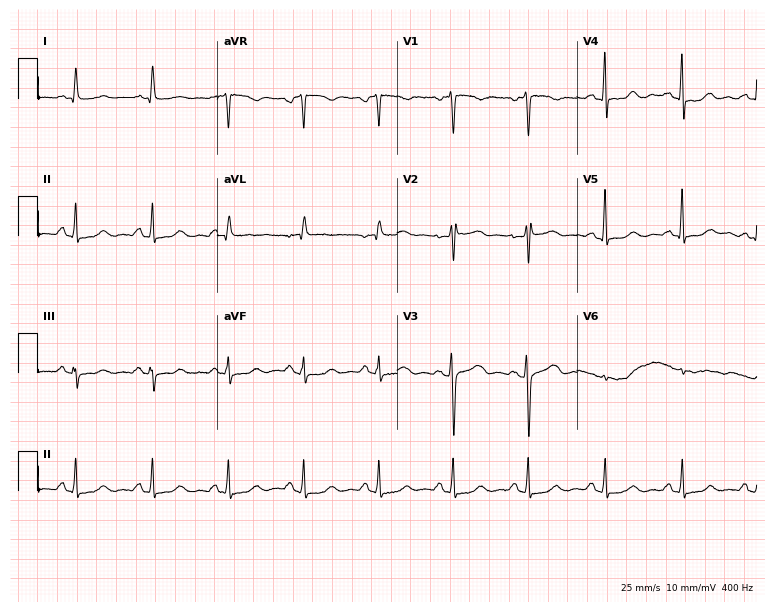
Electrocardiogram (7.3-second recording at 400 Hz), a female patient, 52 years old. Of the six screened findings (first-degree AV block, right bundle branch block, left bundle branch block, sinus bradycardia, atrial fibrillation, sinus tachycardia), none is recorded. Only these six findings were labelled.